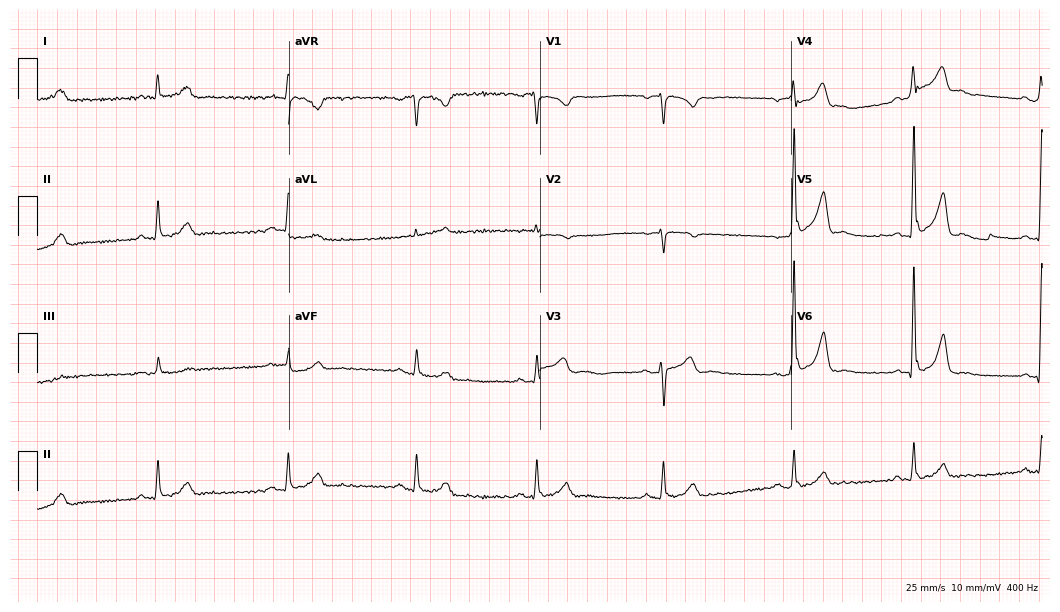
Standard 12-lead ECG recorded from a male patient, 55 years old (10.2-second recording at 400 Hz). The tracing shows sinus bradycardia (a sinus rate of 50 beats per minute or less).